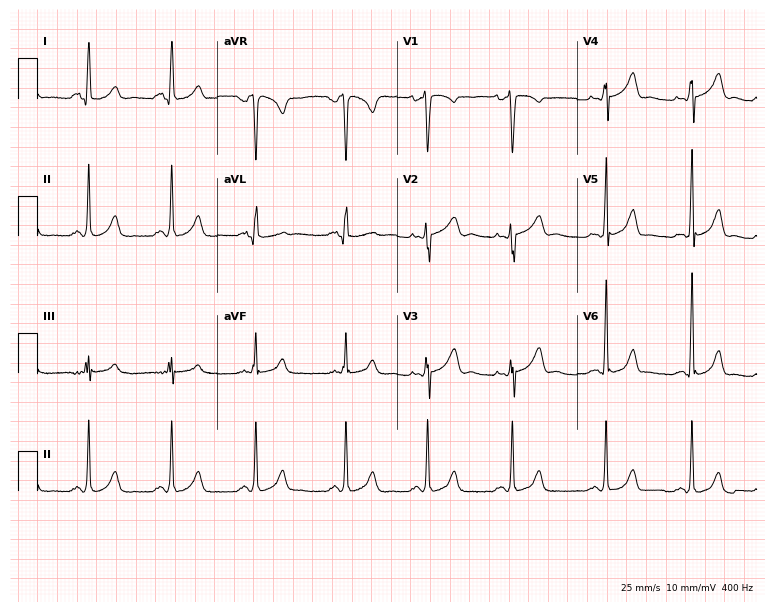
Electrocardiogram, a female, 21 years old. Of the six screened findings (first-degree AV block, right bundle branch block, left bundle branch block, sinus bradycardia, atrial fibrillation, sinus tachycardia), none is recorded. Findings outside these six are not listed.